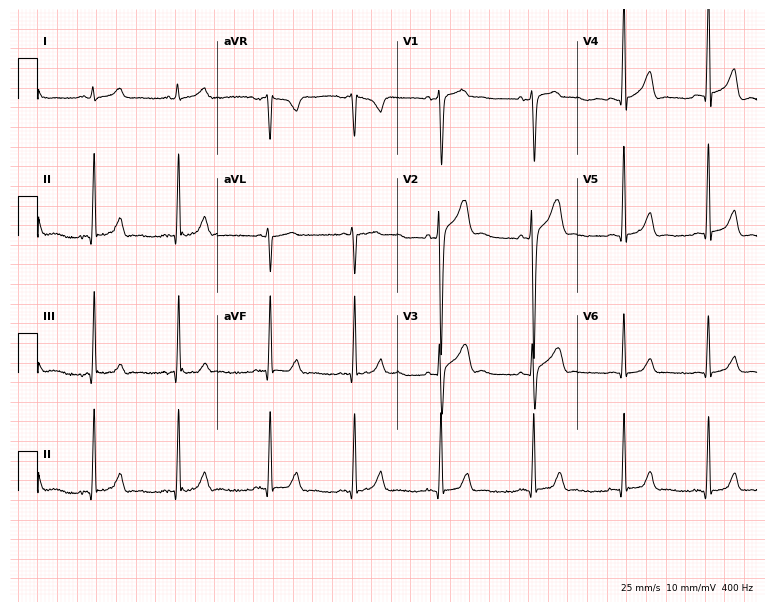
12-lead ECG (7.3-second recording at 400 Hz) from a man, 19 years old. Screened for six findings — first-degree AV block, right bundle branch block (RBBB), left bundle branch block (LBBB), sinus bradycardia, atrial fibrillation (AF), sinus tachycardia — none is recorded.